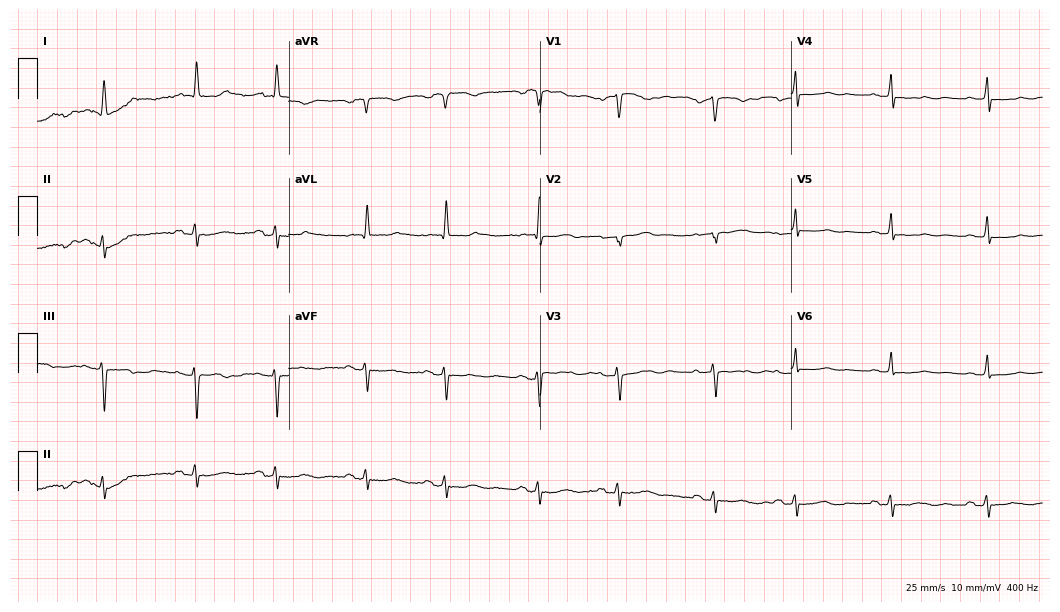
12-lead ECG from a 71-year-old woman. Screened for six findings — first-degree AV block, right bundle branch block, left bundle branch block, sinus bradycardia, atrial fibrillation, sinus tachycardia — none is recorded.